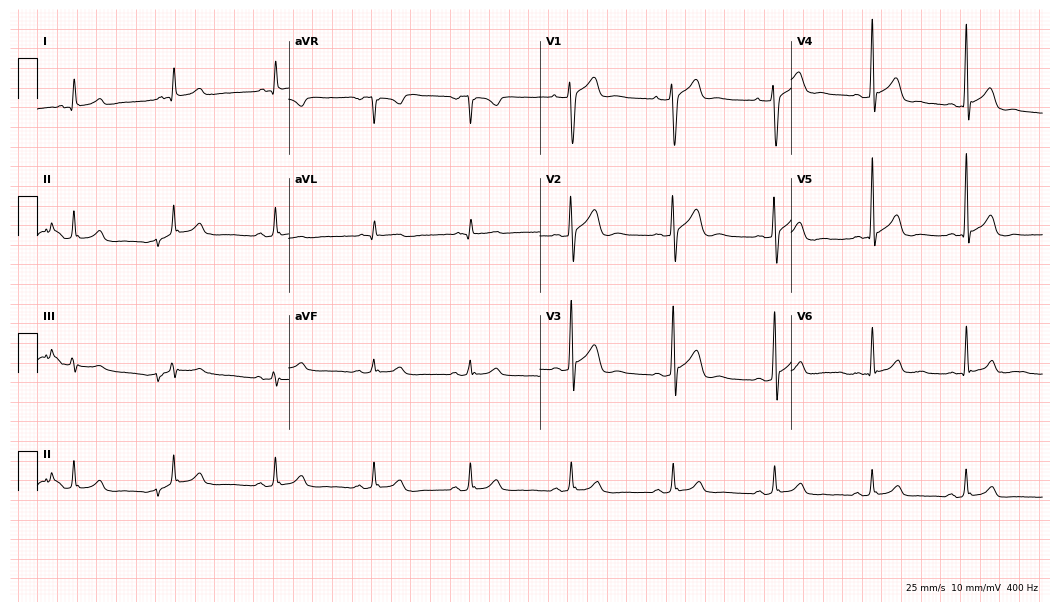
Standard 12-lead ECG recorded from a male, 32 years old (10.2-second recording at 400 Hz). Read as a normal ECG.